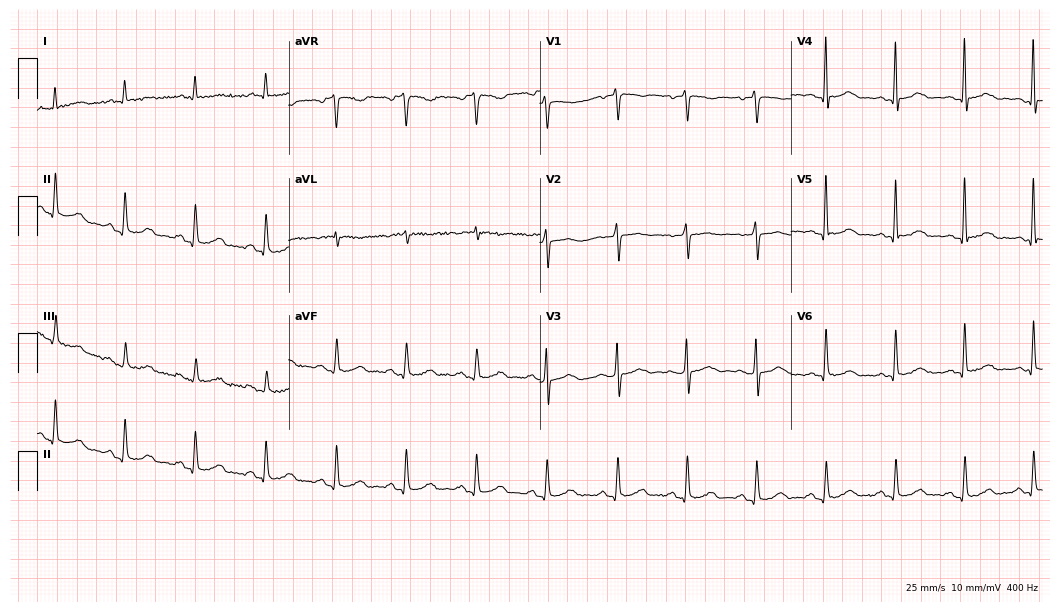
12-lead ECG from a female patient, 77 years old. Labelled as a normal ECG.